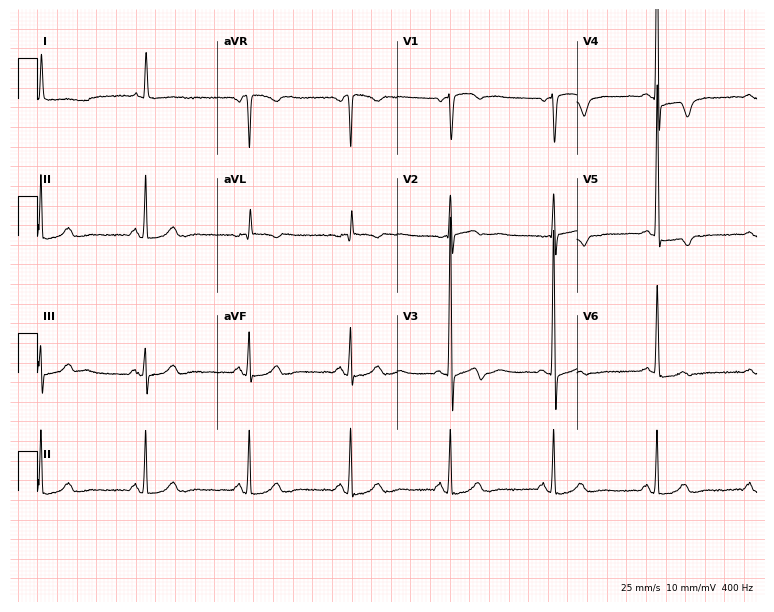
Resting 12-lead electrocardiogram (7.3-second recording at 400 Hz). Patient: an 83-year-old female. None of these six findings is recorded: first-degree AV block, right bundle branch block, left bundle branch block, sinus bradycardia, atrial fibrillation, sinus tachycardia. Other findings, if any, are not listed.